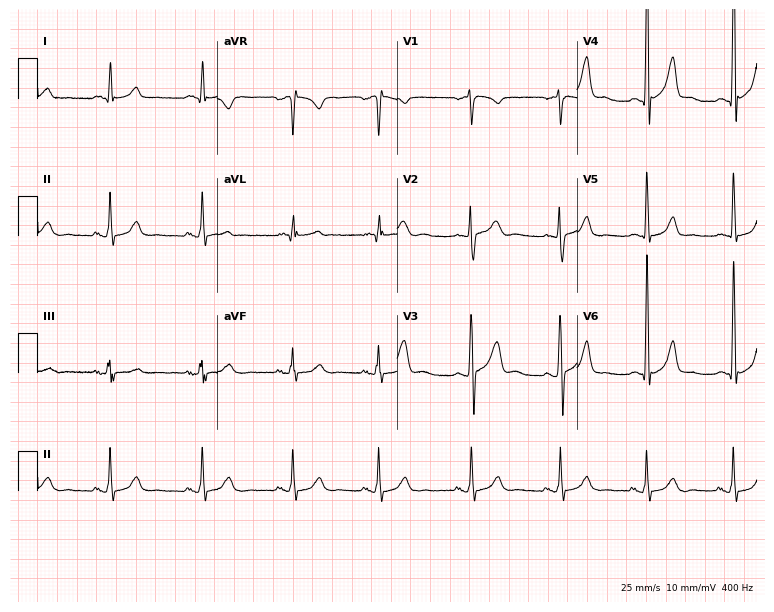
Electrocardiogram (7.3-second recording at 400 Hz), a male patient, 33 years old. Overall reading on record: normal ECG.